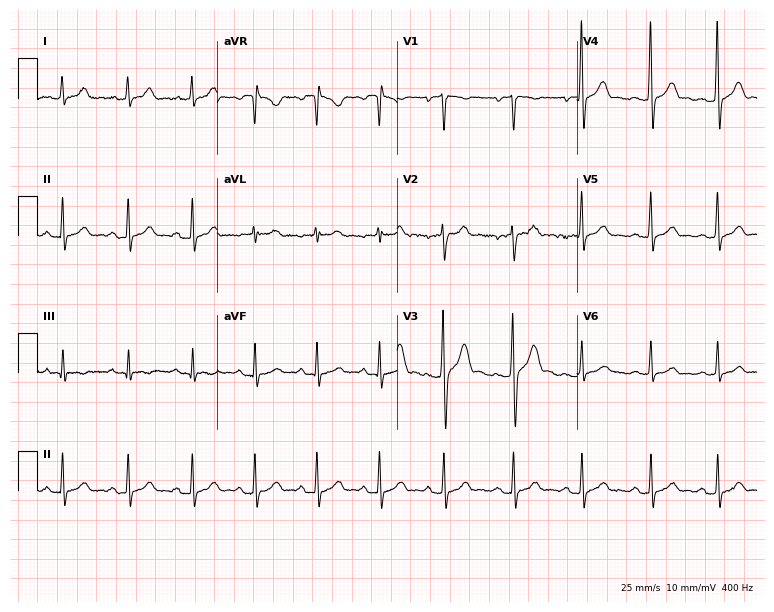
12-lead ECG from a 27-year-old man. Recorded interpretation: within normal limits.